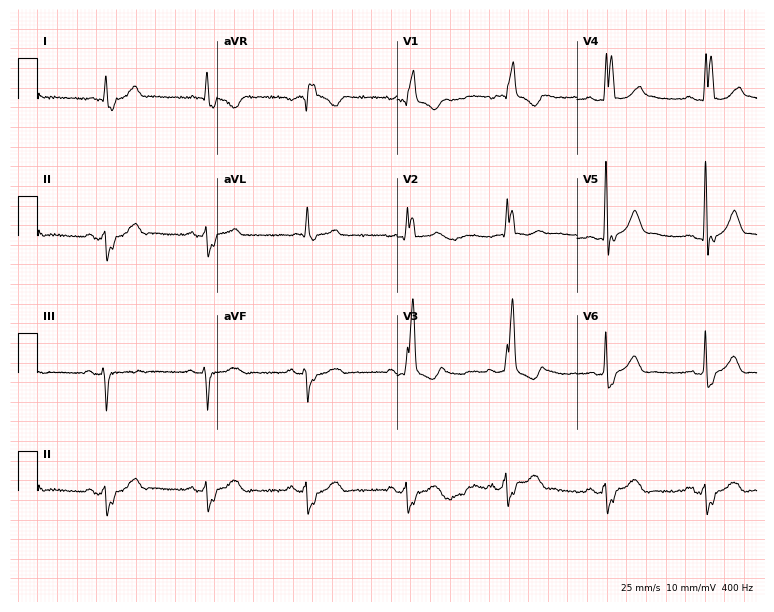
12-lead ECG from a 71-year-old man. Screened for six findings — first-degree AV block, right bundle branch block (RBBB), left bundle branch block (LBBB), sinus bradycardia, atrial fibrillation (AF), sinus tachycardia — none is recorded. Findings outside these six are not listed.